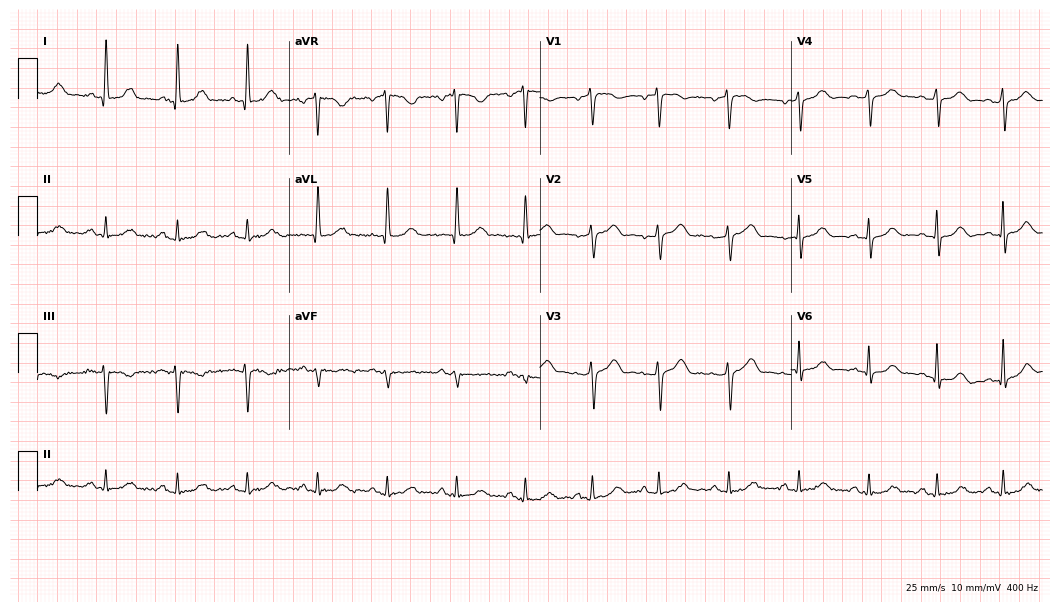
ECG (10.2-second recording at 400 Hz) — a female patient, 61 years old. Labelled as a normal ECG.